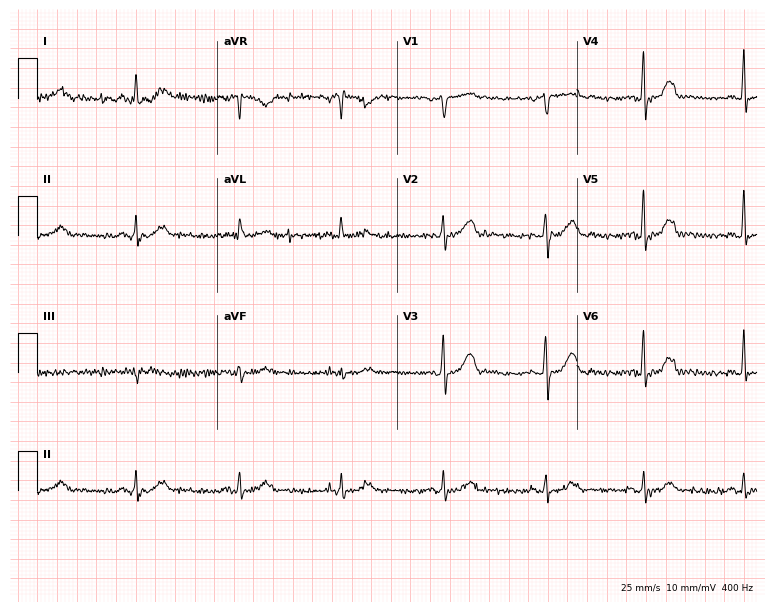
Standard 12-lead ECG recorded from a 72-year-old female patient. None of these six findings is recorded: first-degree AV block, right bundle branch block, left bundle branch block, sinus bradycardia, atrial fibrillation, sinus tachycardia.